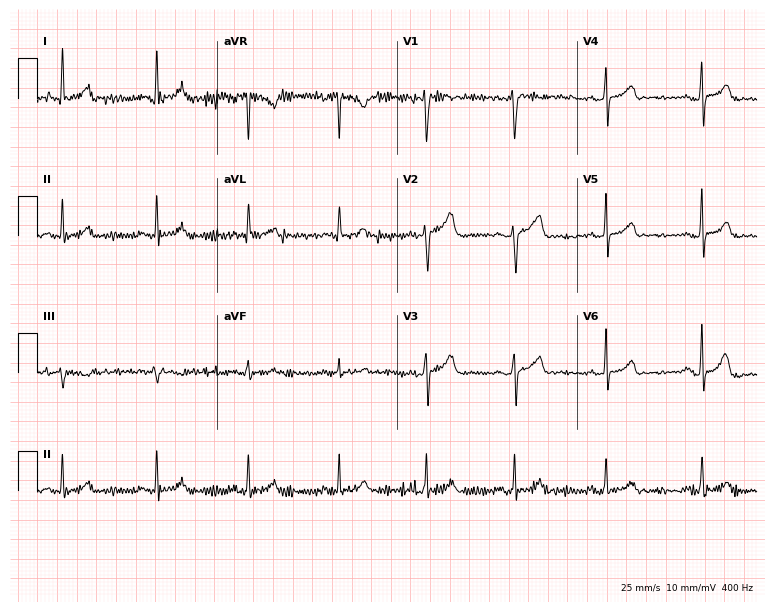
12-lead ECG from a female patient, 41 years old (7.3-second recording at 400 Hz). No first-degree AV block, right bundle branch block (RBBB), left bundle branch block (LBBB), sinus bradycardia, atrial fibrillation (AF) or sinus tachycardia recorded for this tracing.